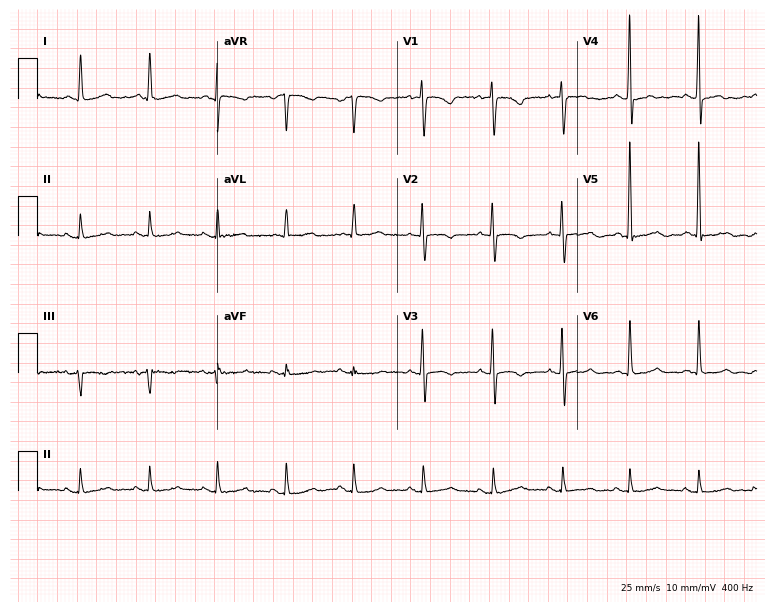
Standard 12-lead ECG recorded from a 78-year-old woman (7.3-second recording at 400 Hz). None of these six findings is recorded: first-degree AV block, right bundle branch block, left bundle branch block, sinus bradycardia, atrial fibrillation, sinus tachycardia.